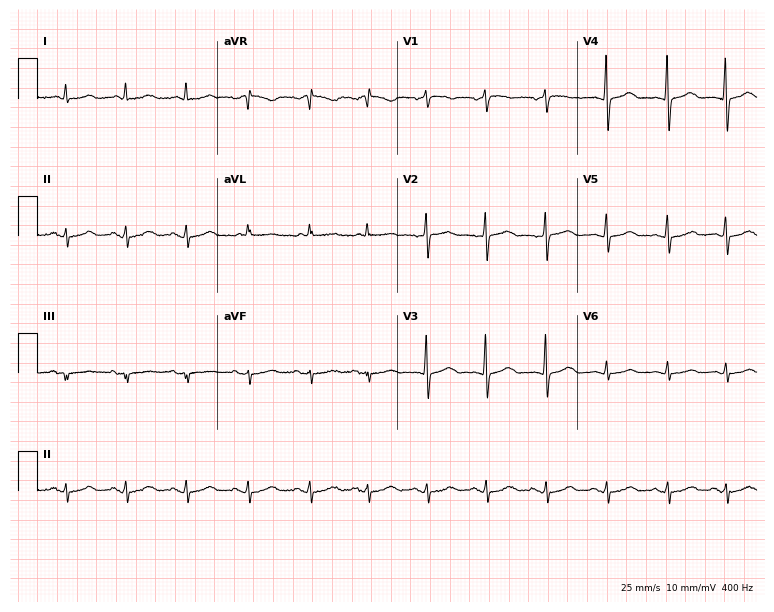
Resting 12-lead electrocardiogram. Patient: a 74-year-old female. None of these six findings is recorded: first-degree AV block, right bundle branch block (RBBB), left bundle branch block (LBBB), sinus bradycardia, atrial fibrillation (AF), sinus tachycardia. Findings outside these six are not listed.